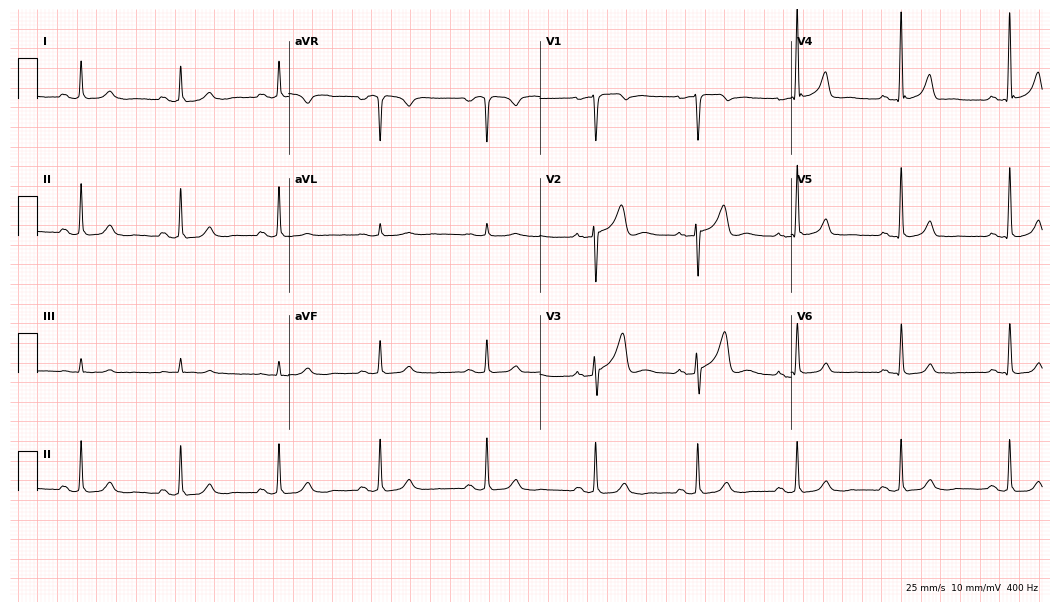
Electrocardiogram, a male, 34 years old. Overall reading on record: normal ECG.